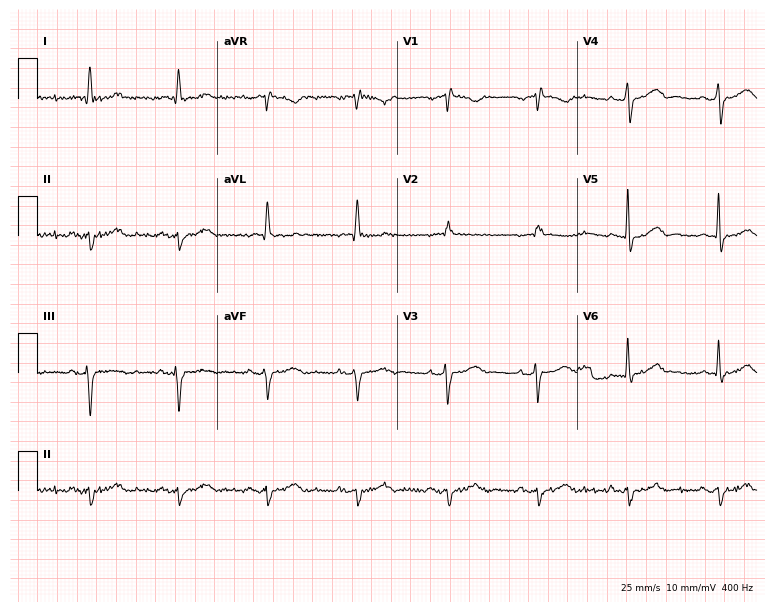
12-lead ECG from a 74-year-old male patient (7.3-second recording at 400 Hz). No first-degree AV block, right bundle branch block, left bundle branch block, sinus bradycardia, atrial fibrillation or sinus tachycardia recorded for this tracing. Findings outside these six are not listed.